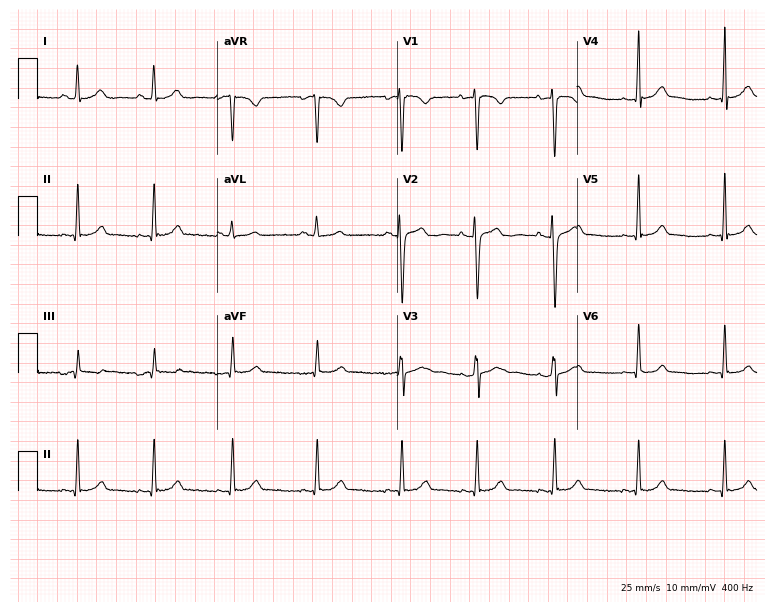
12-lead ECG from a 21-year-old female patient. Screened for six findings — first-degree AV block, right bundle branch block, left bundle branch block, sinus bradycardia, atrial fibrillation, sinus tachycardia — none is recorded. Other findings, if any, are not listed.